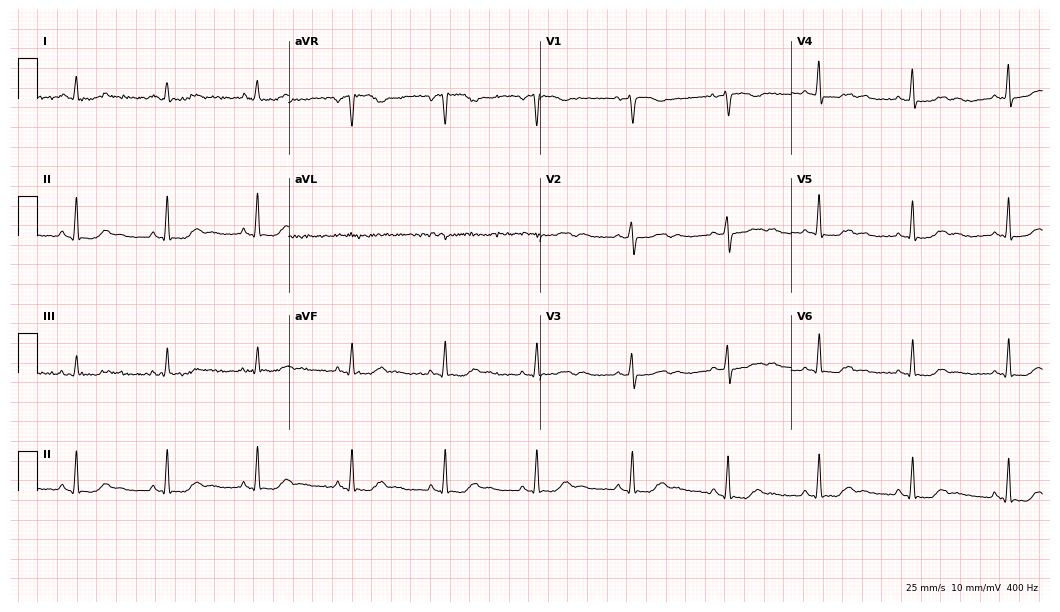
12-lead ECG from a 50-year-old female patient. No first-degree AV block, right bundle branch block (RBBB), left bundle branch block (LBBB), sinus bradycardia, atrial fibrillation (AF) or sinus tachycardia recorded for this tracing.